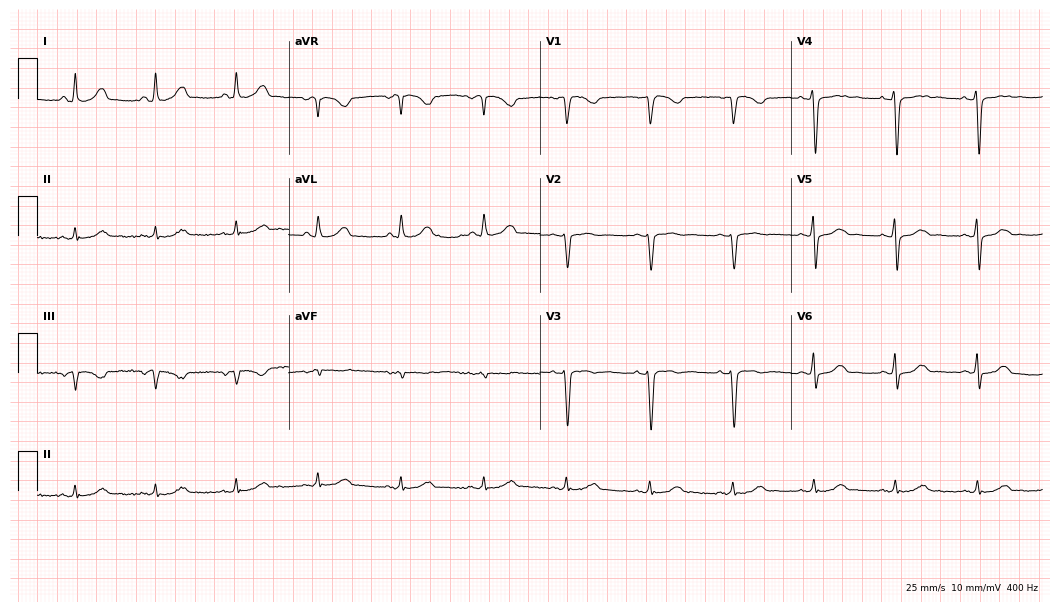
ECG — a 42-year-old female. Screened for six findings — first-degree AV block, right bundle branch block, left bundle branch block, sinus bradycardia, atrial fibrillation, sinus tachycardia — none is recorded. Other findings, if any, are not listed.